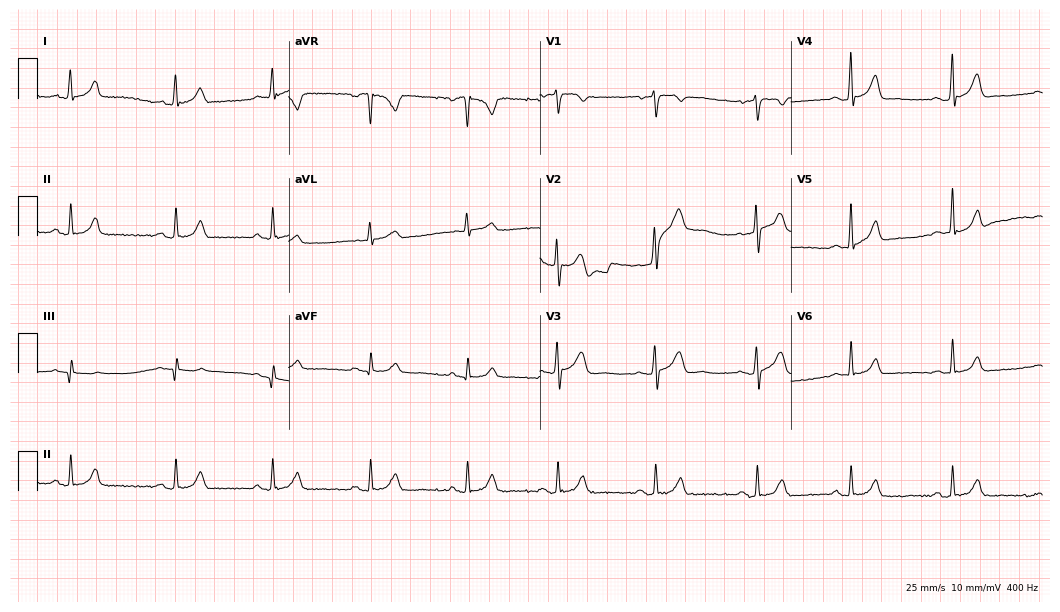
12-lead ECG from a man, 24 years old (10.2-second recording at 400 Hz). Recorded interpretation: within normal limits.